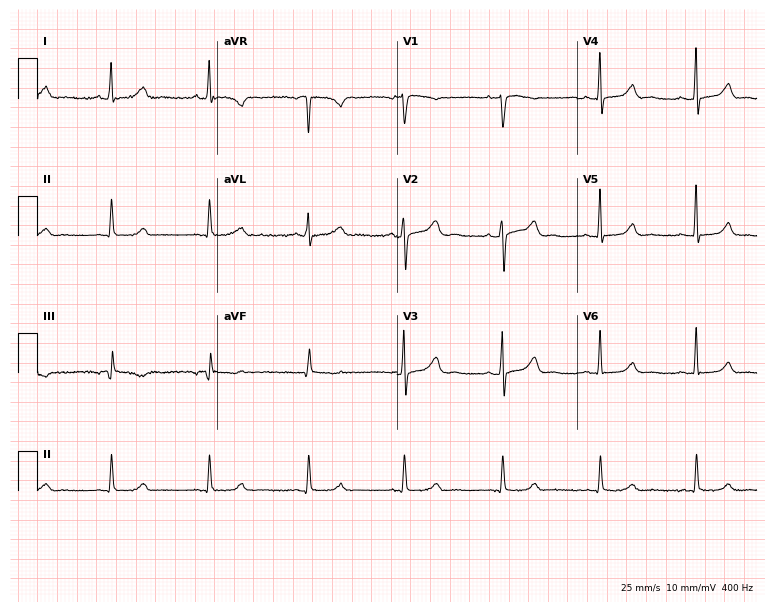
Electrocardiogram (7.3-second recording at 400 Hz), a female, 54 years old. Overall reading on record: normal ECG.